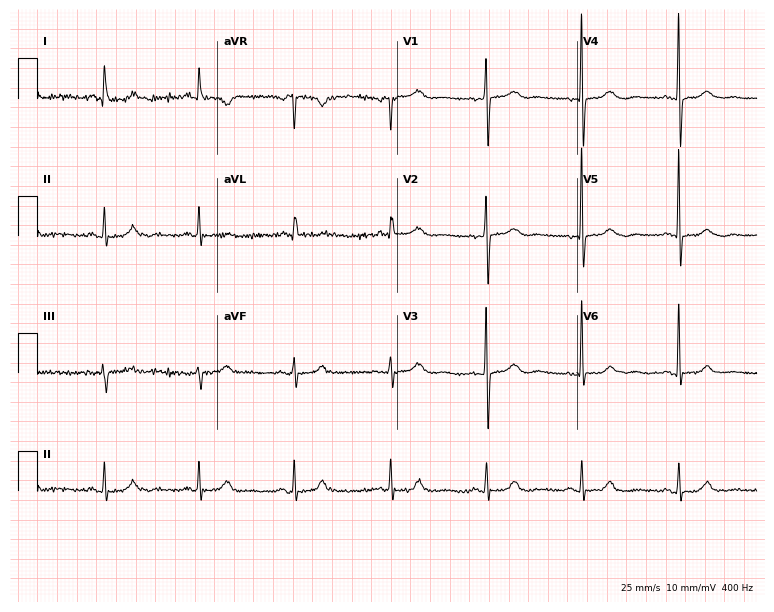
Resting 12-lead electrocardiogram. Patient: a woman, 80 years old. Read as a normal ECG.